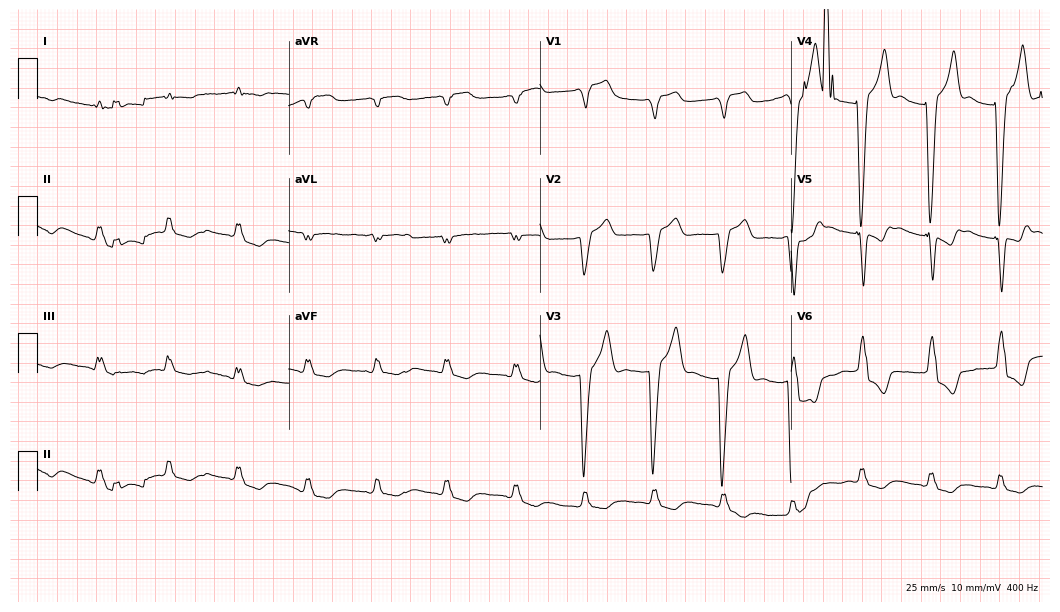
Standard 12-lead ECG recorded from a female, 81 years old (10.2-second recording at 400 Hz). None of these six findings is recorded: first-degree AV block, right bundle branch block (RBBB), left bundle branch block (LBBB), sinus bradycardia, atrial fibrillation (AF), sinus tachycardia.